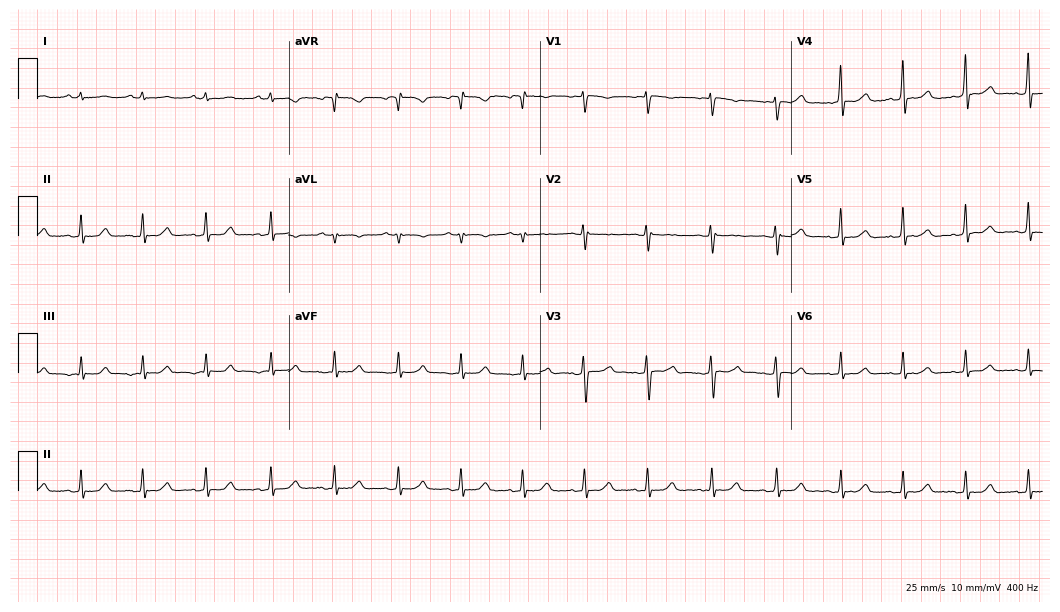
ECG — a female, 25 years old. Screened for six findings — first-degree AV block, right bundle branch block, left bundle branch block, sinus bradycardia, atrial fibrillation, sinus tachycardia — none is recorded. Findings outside these six are not listed.